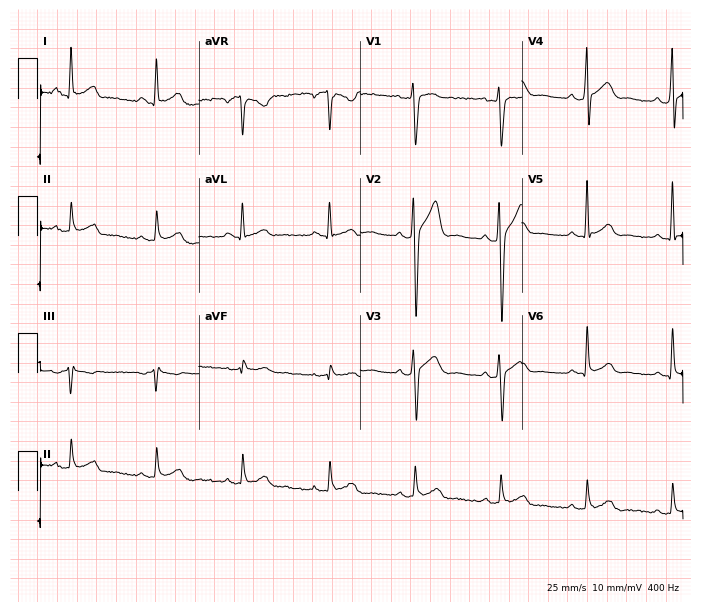
Electrocardiogram (6.6-second recording at 400 Hz), a male patient, 35 years old. Of the six screened findings (first-degree AV block, right bundle branch block, left bundle branch block, sinus bradycardia, atrial fibrillation, sinus tachycardia), none is recorded.